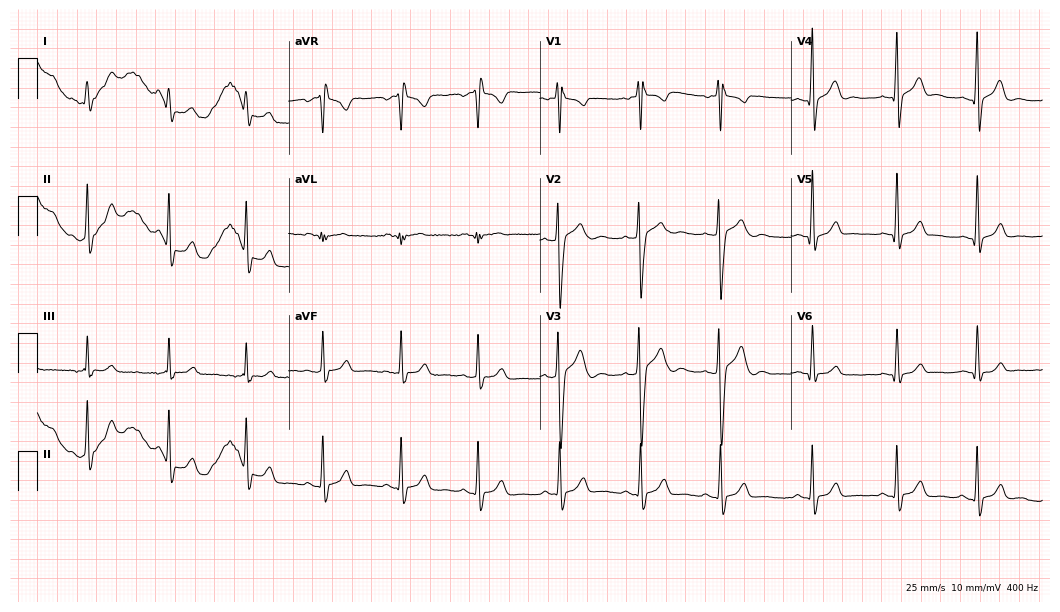
Electrocardiogram, a male patient, 18 years old. Of the six screened findings (first-degree AV block, right bundle branch block, left bundle branch block, sinus bradycardia, atrial fibrillation, sinus tachycardia), none is recorded.